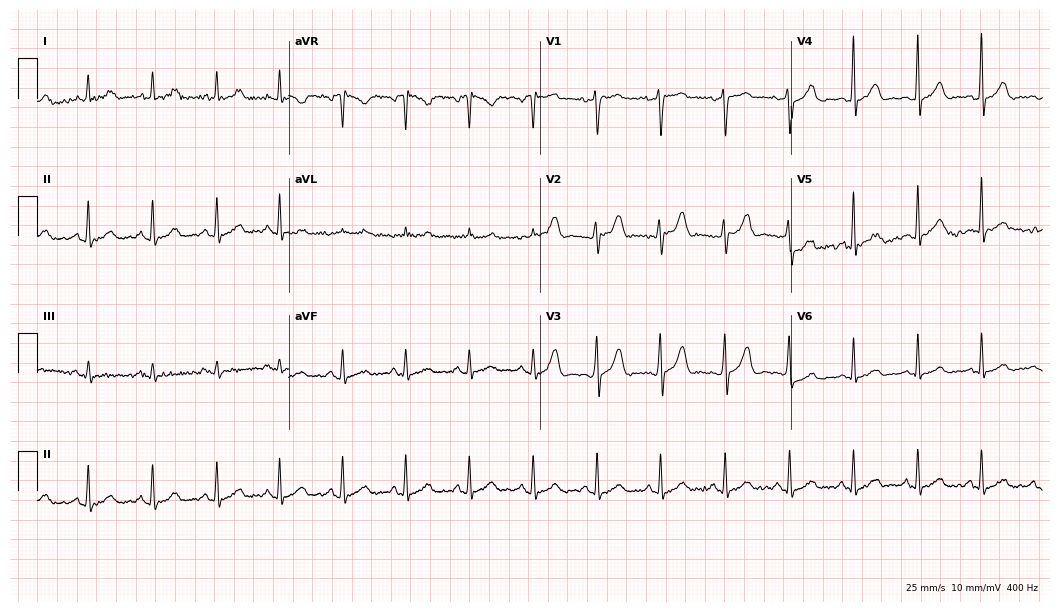
Standard 12-lead ECG recorded from a male patient, 54 years old. Read as a normal ECG.